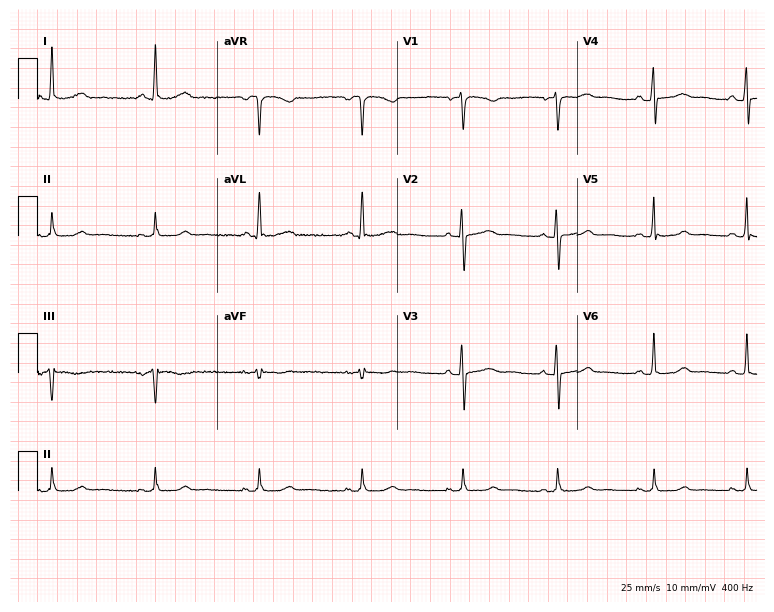
ECG (7.3-second recording at 400 Hz) — a woman, 64 years old. Labelled as a normal ECG.